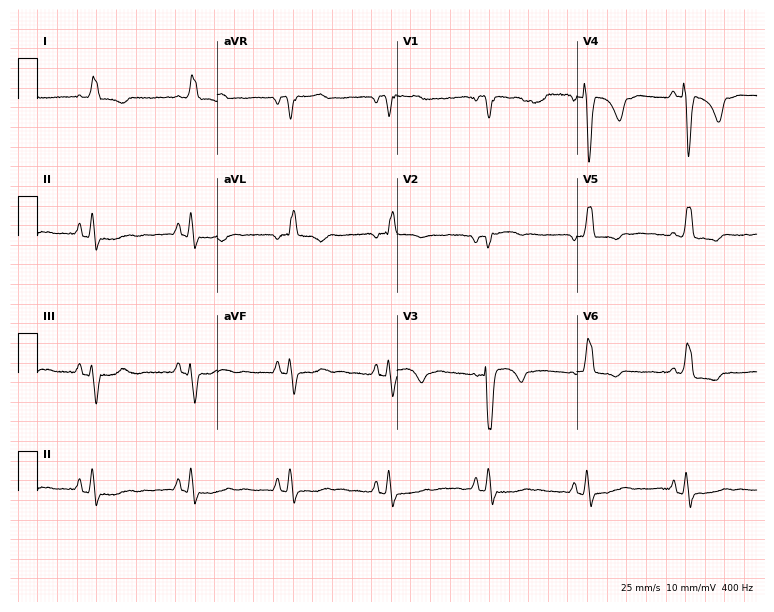
12-lead ECG (7.3-second recording at 400 Hz) from a woman, 70 years old. Findings include left bundle branch block.